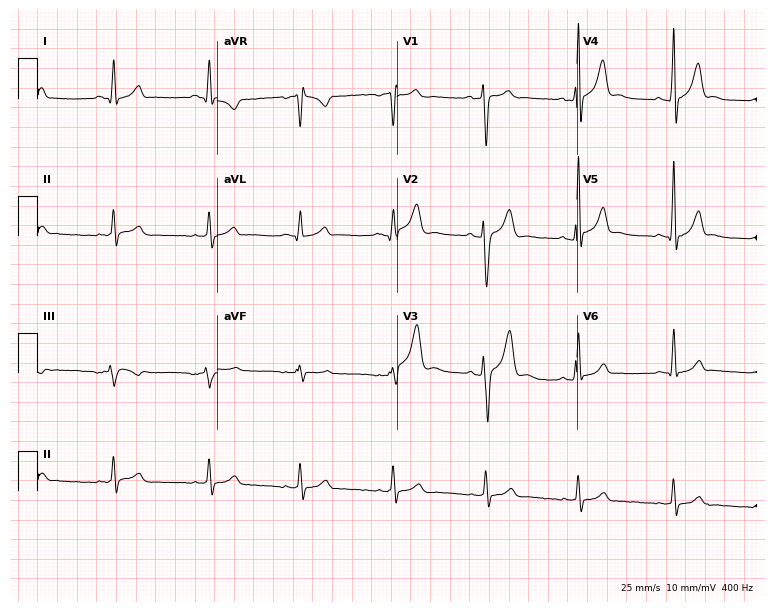
Electrocardiogram, a 25-year-old man. Of the six screened findings (first-degree AV block, right bundle branch block (RBBB), left bundle branch block (LBBB), sinus bradycardia, atrial fibrillation (AF), sinus tachycardia), none is recorded.